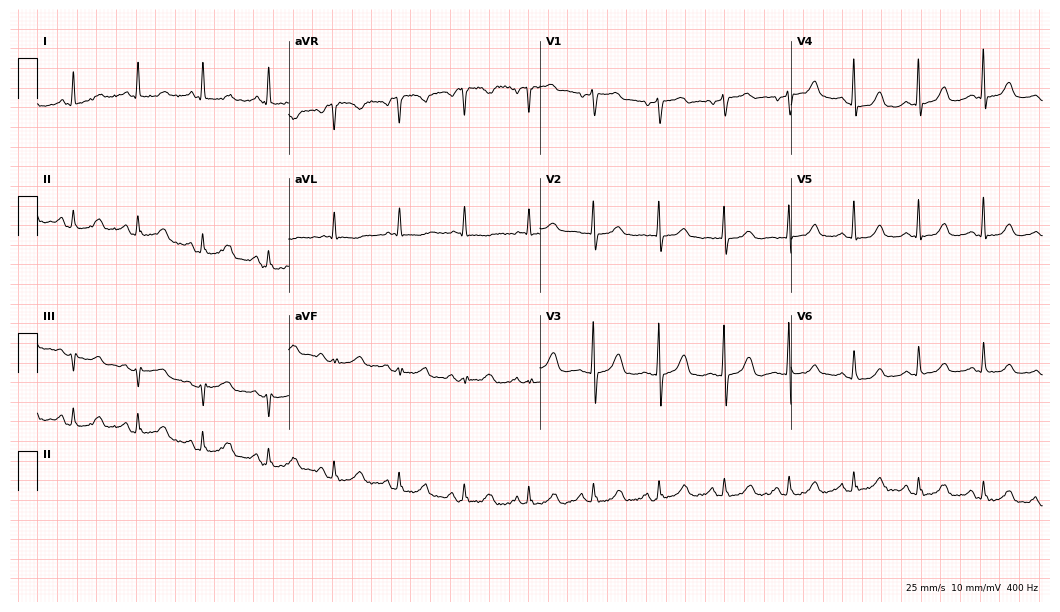
Electrocardiogram (10.2-second recording at 400 Hz), a female, 62 years old. Overall reading on record: normal ECG.